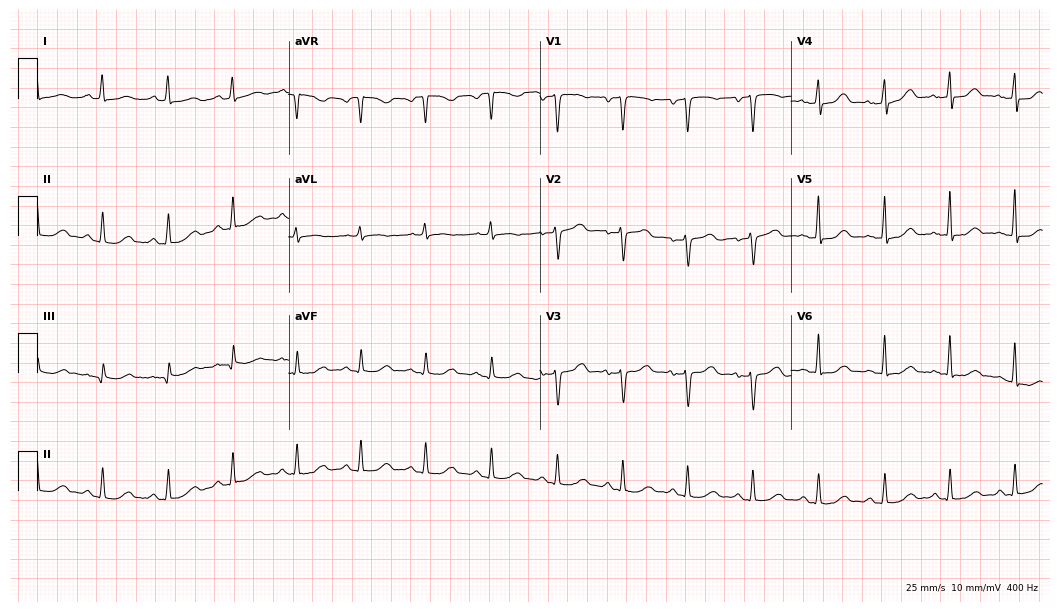
ECG (10.2-second recording at 400 Hz) — a female patient, 48 years old. Labelled as a normal ECG.